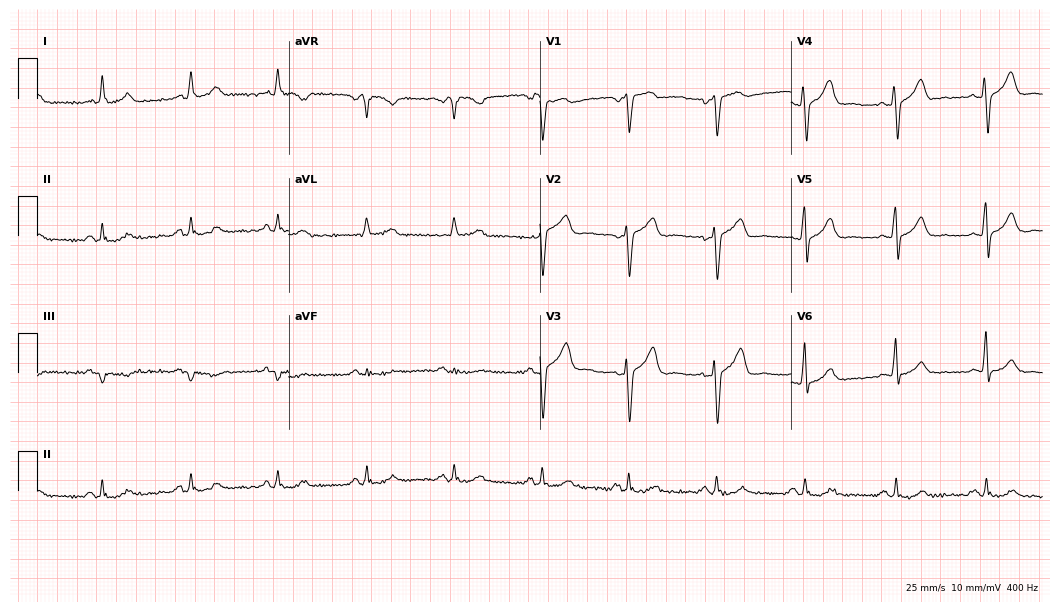
ECG (10.2-second recording at 400 Hz) — a 54-year-old male patient. Screened for six findings — first-degree AV block, right bundle branch block, left bundle branch block, sinus bradycardia, atrial fibrillation, sinus tachycardia — none is recorded. Findings outside these six are not listed.